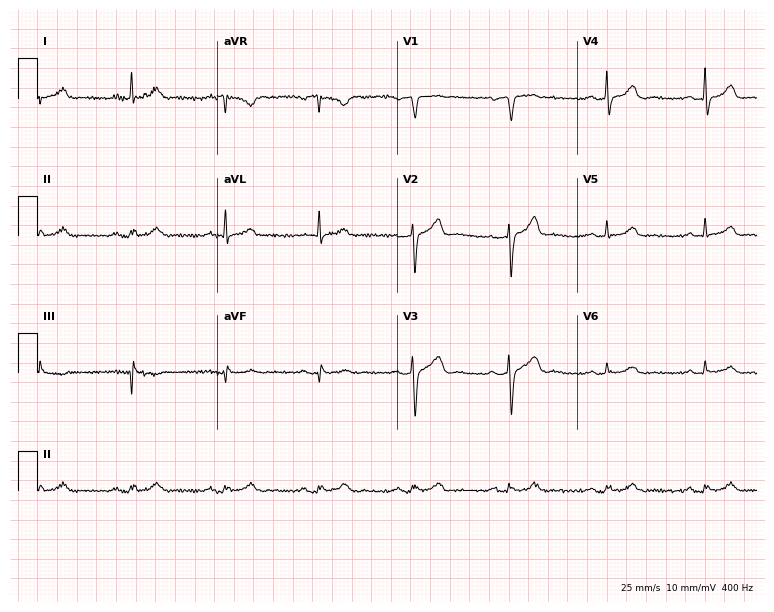
Resting 12-lead electrocardiogram. Patient: a male, 68 years old. Read as a normal ECG.